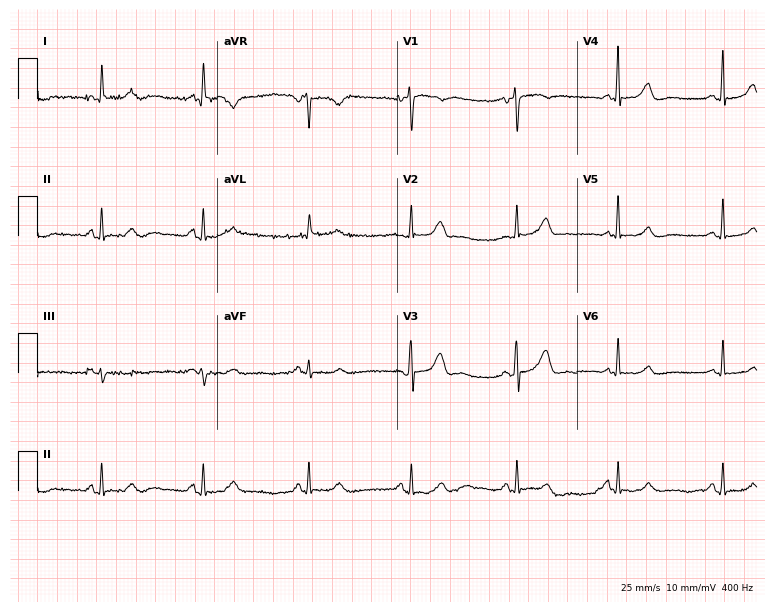
Electrocardiogram, a woman, 70 years old. Overall reading on record: normal ECG.